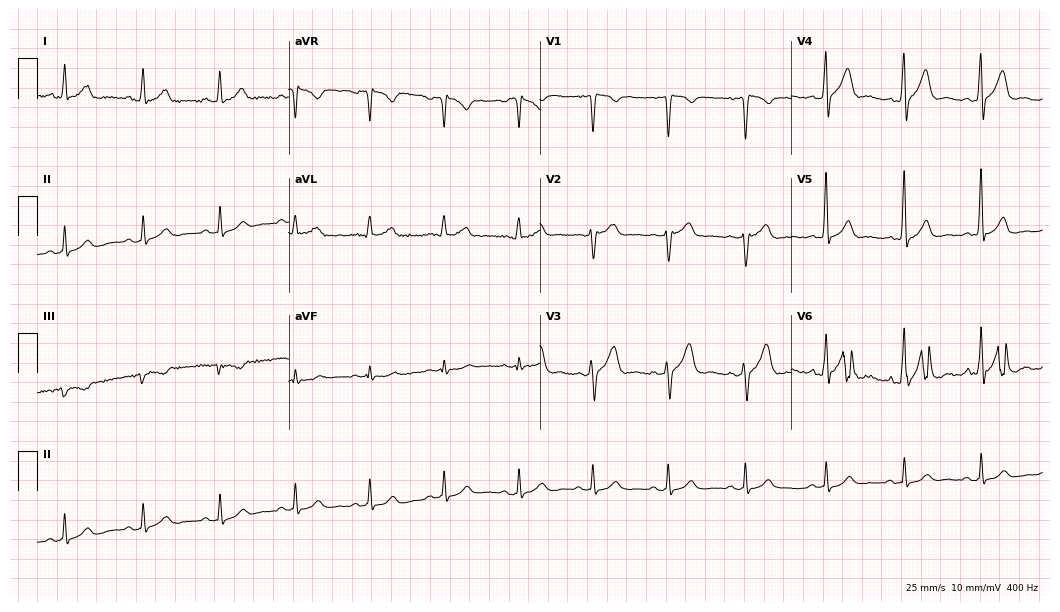
Resting 12-lead electrocardiogram. Patient: a male, 30 years old. Read as a normal ECG.